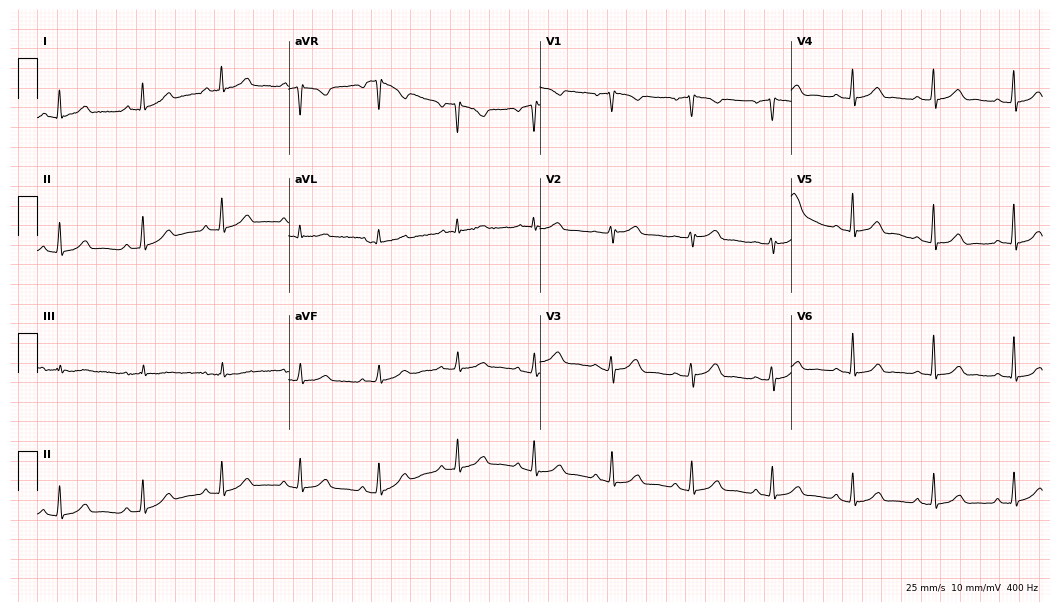
Electrocardiogram (10.2-second recording at 400 Hz), a female patient, 54 years old. Overall reading on record: normal ECG.